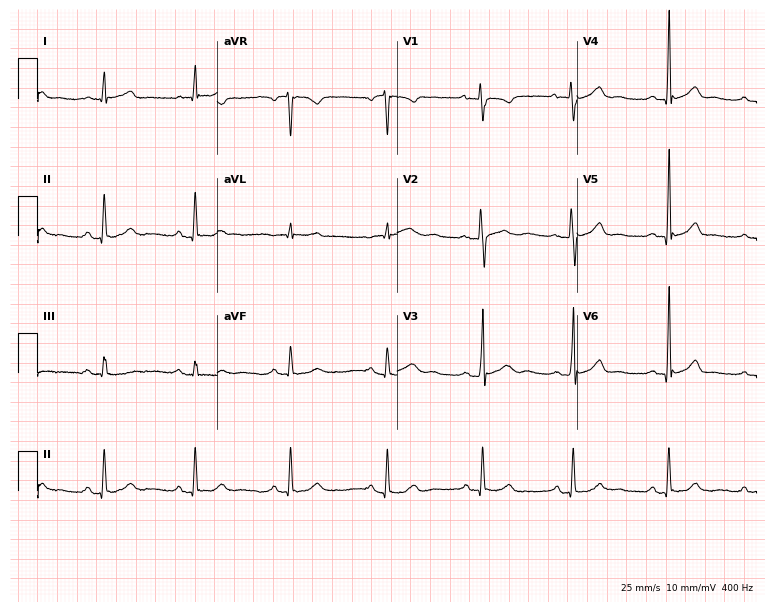
Electrocardiogram (7.3-second recording at 400 Hz), a female, 32 years old. Overall reading on record: normal ECG.